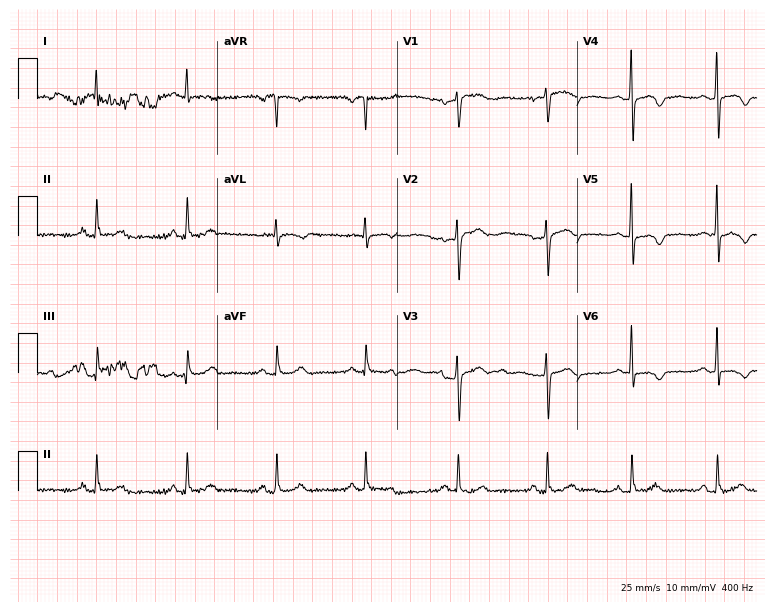
Standard 12-lead ECG recorded from a 61-year-old woman. None of these six findings is recorded: first-degree AV block, right bundle branch block, left bundle branch block, sinus bradycardia, atrial fibrillation, sinus tachycardia. Other findings, if any, are not listed.